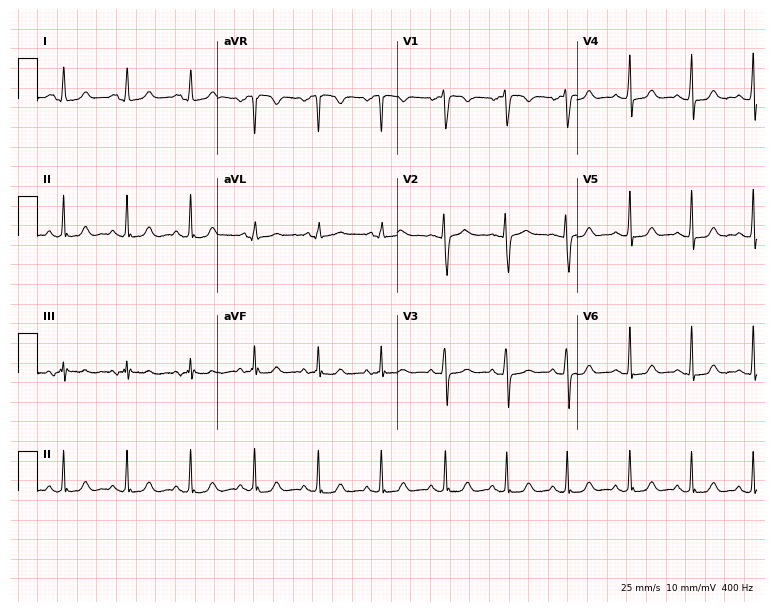
Standard 12-lead ECG recorded from a 17-year-old female. Read as a normal ECG.